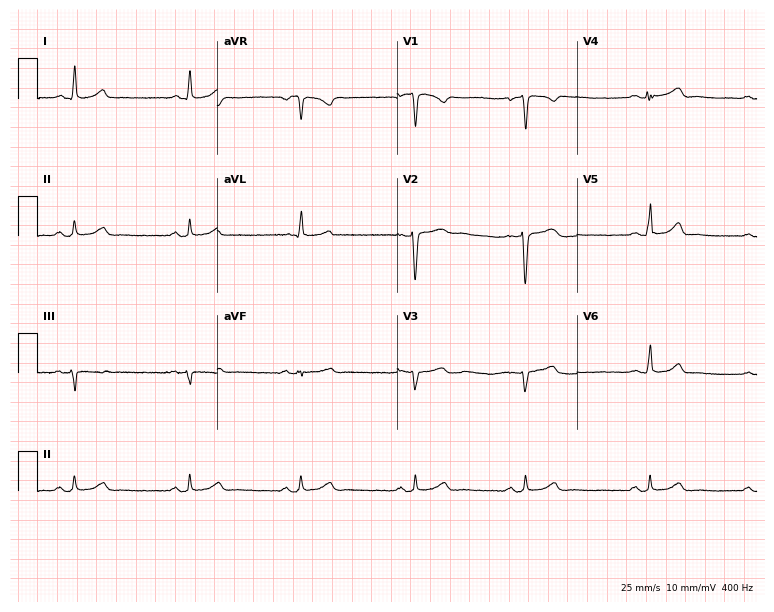
ECG (7.3-second recording at 400 Hz) — a 38-year-old woman. Screened for six findings — first-degree AV block, right bundle branch block (RBBB), left bundle branch block (LBBB), sinus bradycardia, atrial fibrillation (AF), sinus tachycardia — none is recorded.